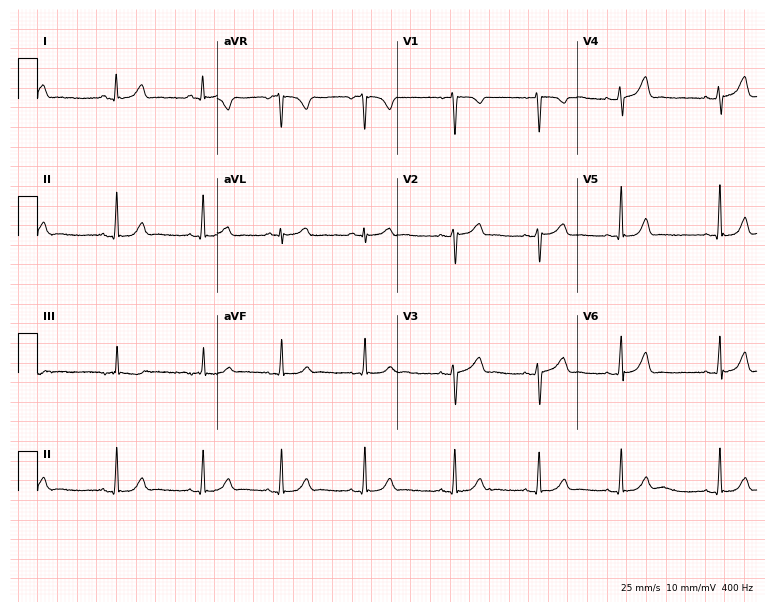
Standard 12-lead ECG recorded from a 35-year-old woman (7.3-second recording at 400 Hz). Read as a normal ECG.